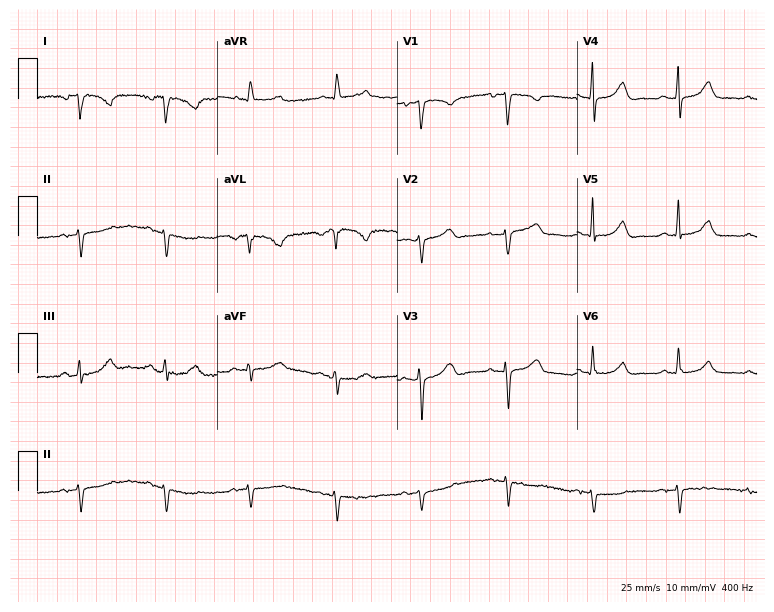
12-lead ECG from a woman, 85 years old. Screened for six findings — first-degree AV block, right bundle branch block, left bundle branch block, sinus bradycardia, atrial fibrillation, sinus tachycardia — none is recorded.